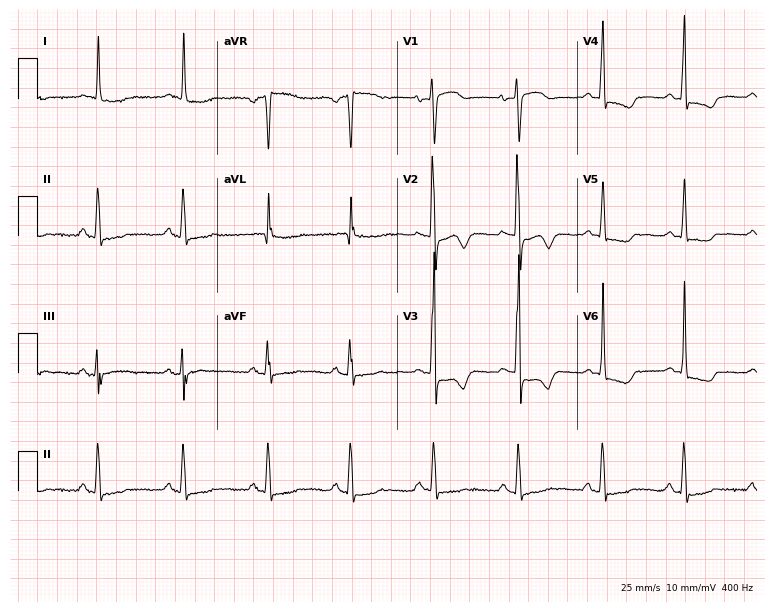
Resting 12-lead electrocardiogram (7.3-second recording at 400 Hz). Patient: a female, 31 years old. None of these six findings is recorded: first-degree AV block, right bundle branch block, left bundle branch block, sinus bradycardia, atrial fibrillation, sinus tachycardia. Findings outside these six are not listed.